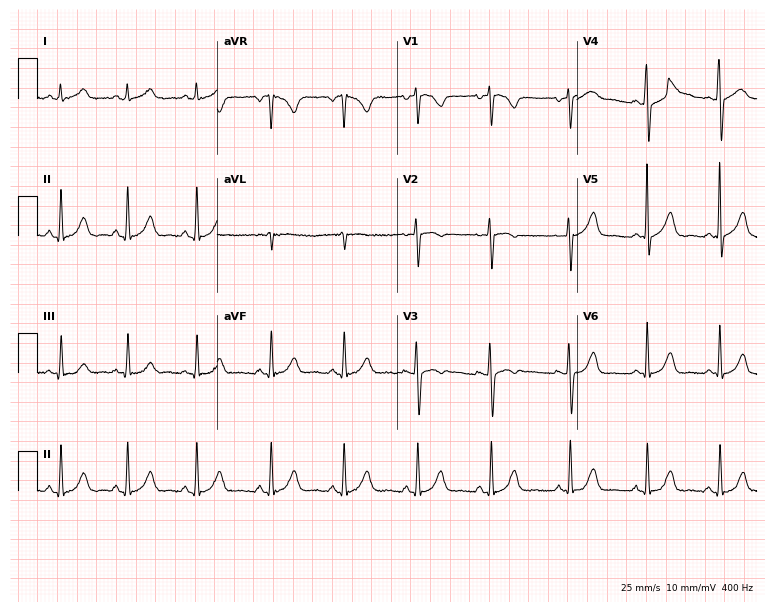
ECG (7.3-second recording at 400 Hz) — a female, 41 years old. Labelled as a normal ECG.